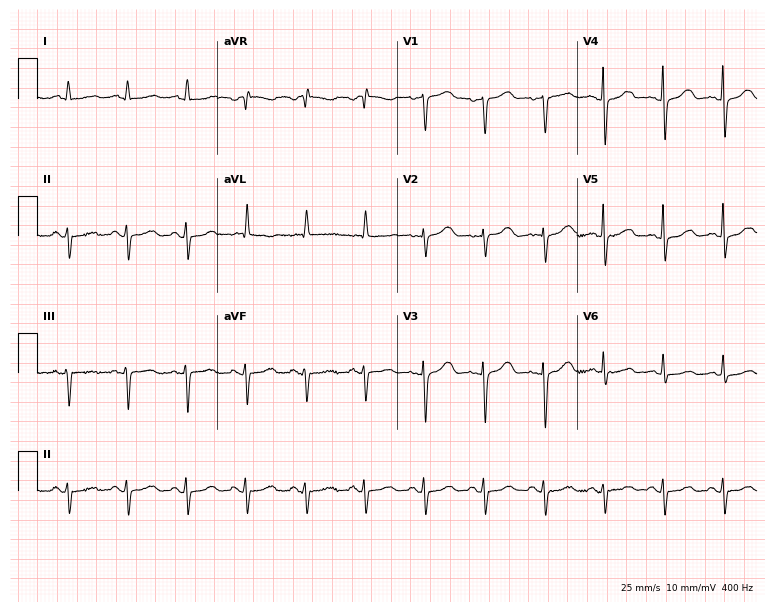
Standard 12-lead ECG recorded from a 76-year-old female (7.3-second recording at 400 Hz). None of these six findings is recorded: first-degree AV block, right bundle branch block (RBBB), left bundle branch block (LBBB), sinus bradycardia, atrial fibrillation (AF), sinus tachycardia.